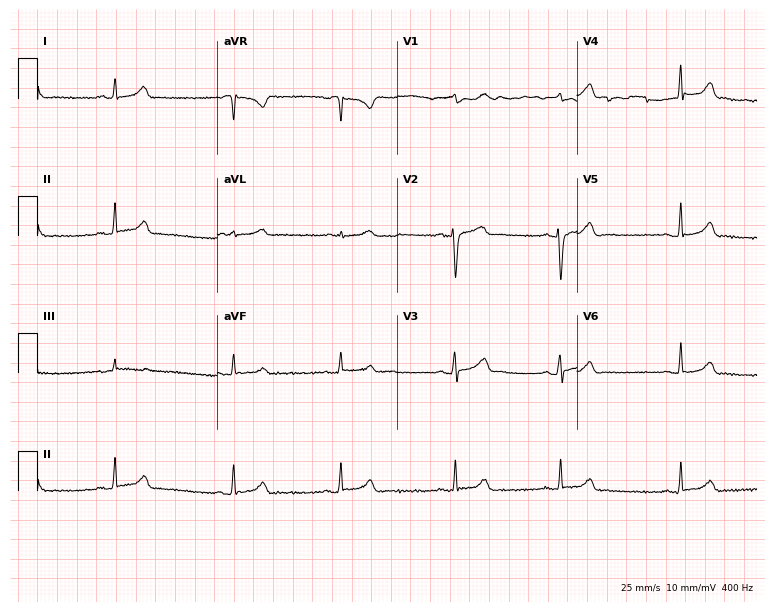
12-lead ECG (7.3-second recording at 400 Hz) from a 24-year-old woman. Labelled as a normal ECG.